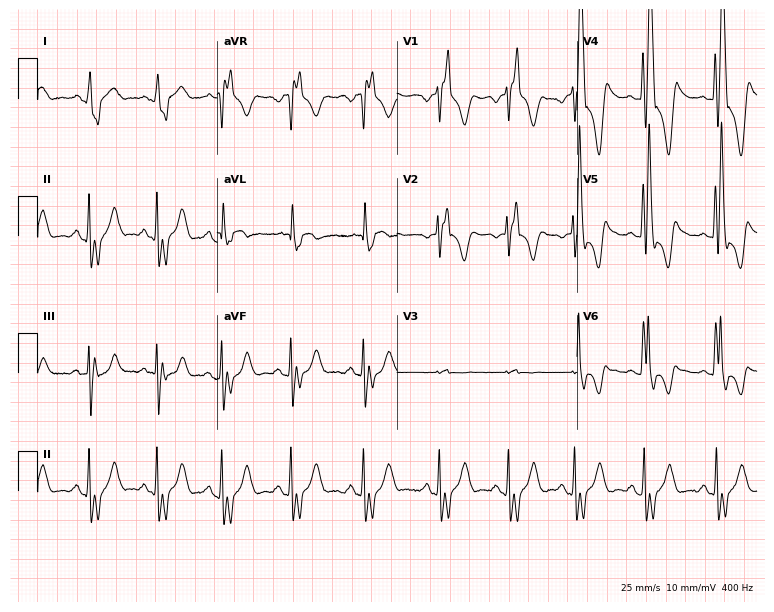
12-lead ECG from a 20-year-old woman (7.3-second recording at 400 Hz). Shows right bundle branch block (RBBB).